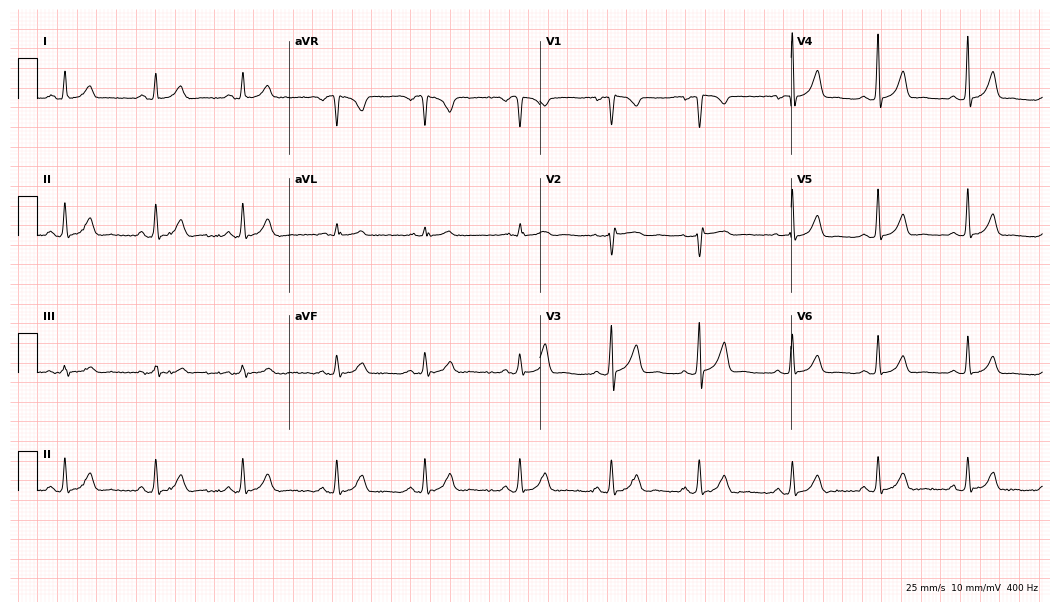
12-lead ECG from a female, 28 years old. Recorded interpretation: within normal limits.